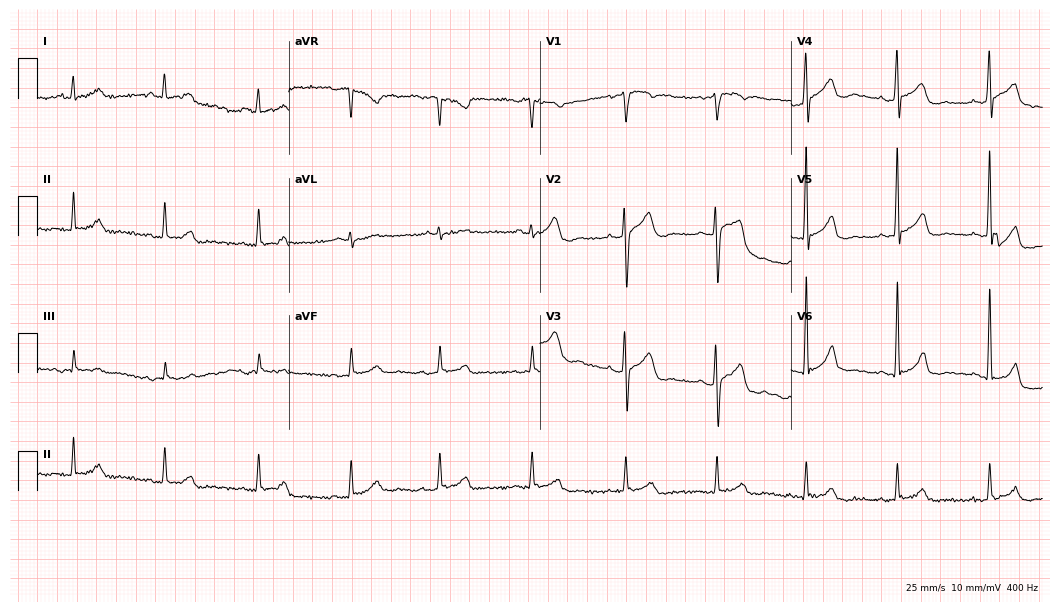
ECG (10.2-second recording at 400 Hz) — a male, 56 years old. Labelled as a normal ECG.